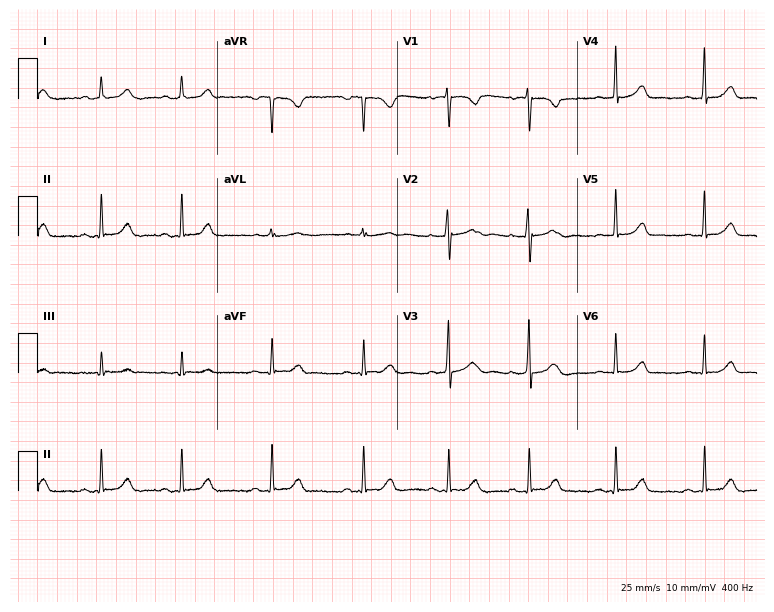
ECG (7.3-second recording at 400 Hz) — a female patient, 27 years old. Labelled as a normal ECG.